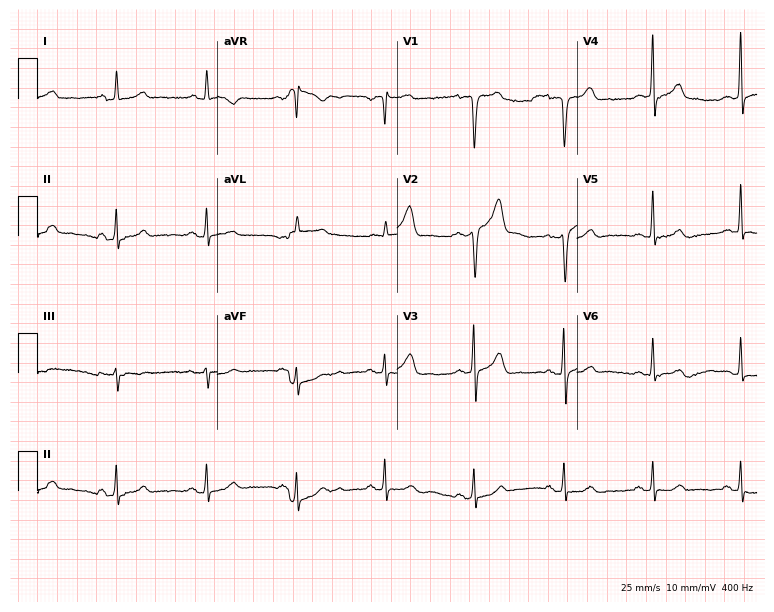
ECG (7.3-second recording at 400 Hz) — a 53-year-old male. Labelled as a normal ECG.